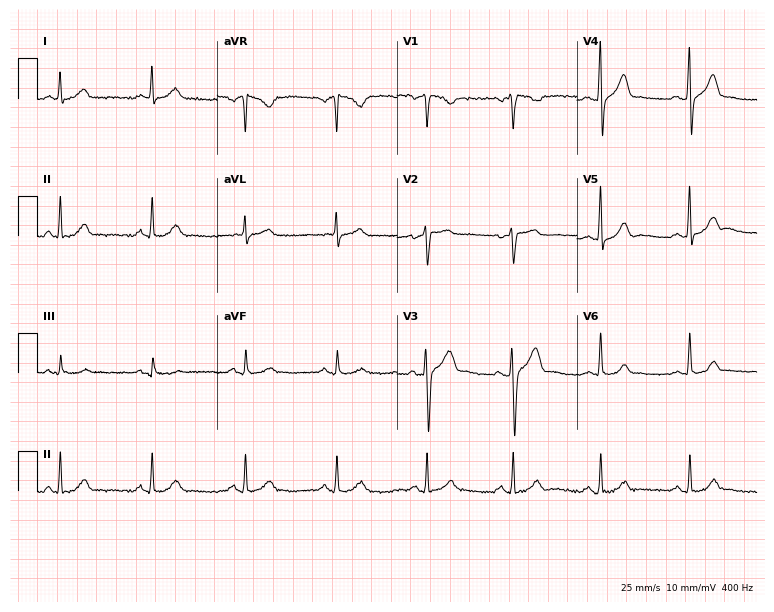
Resting 12-lead electrocardiogram (7.3-second recording at 400 Hz). Patient: a male, 41 years old. None of these six findings is recorded: first-degree AV block, right bundle branch block (RBBB), left bundle branch block (LBBB), sinus bradycardia, atrial fibrillation (AF), sinus tachycardia.